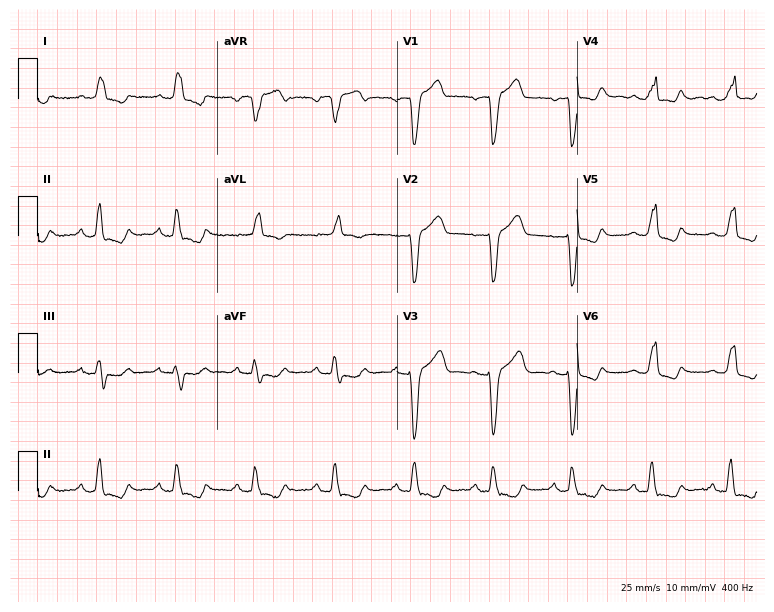
Resting 12-lead electrocardiogram. Patient: a 65-year-old woman. The tracing shows left bundle branch block.